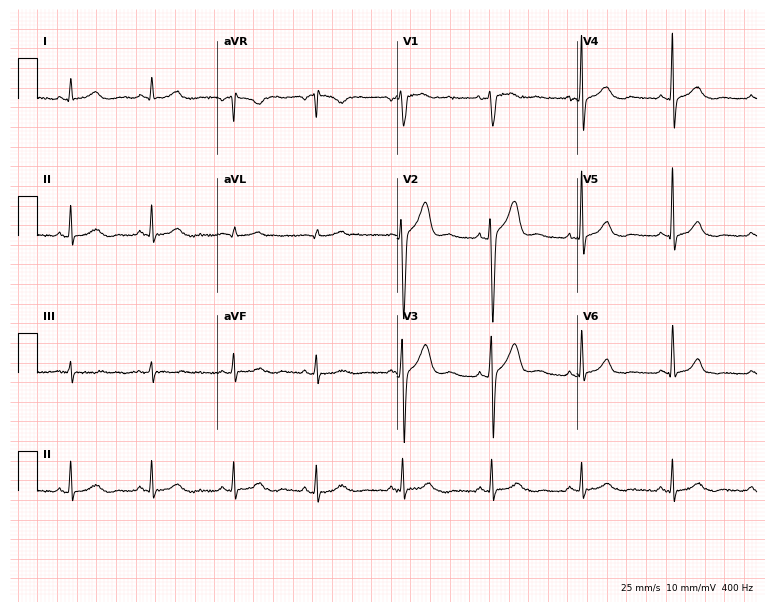
ECG (7.3-second recording at 400 Hz) — a 47-year-old male. Screened for six findings — first-degree AV block, right bundle branch block (RBBB), left bundle branch block (LBBB), sinus bradycardia, atrial fibrillation (AF), sinus tachycardia — none is recorded.